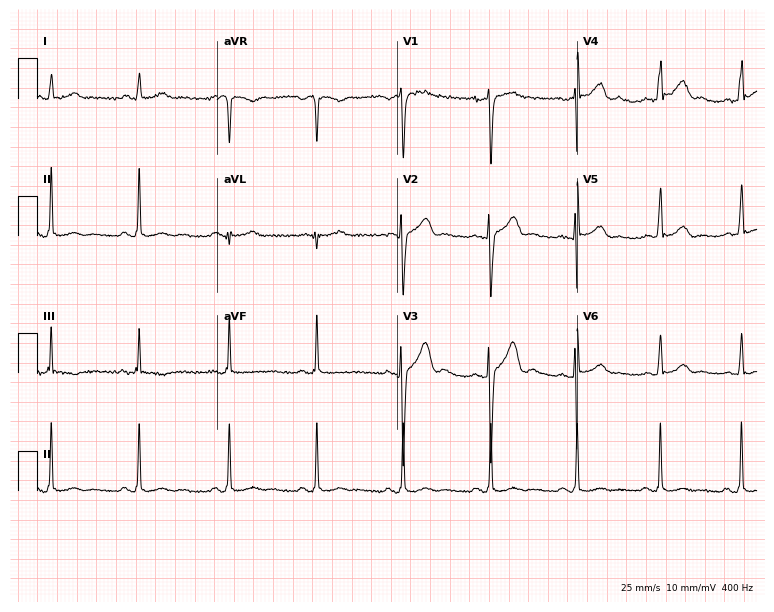
ECG (7.3-second recording at 400 Hz) — a 38-year-old male patient. Screened for six findings — first-degree AV block, right bundle branch block (RBBB), left bundle branch block (LBBB), sinus bradycardia, atrial fibrillation (AF), sinus tachycardia — none is recorded. Findings outside these six are not listed.